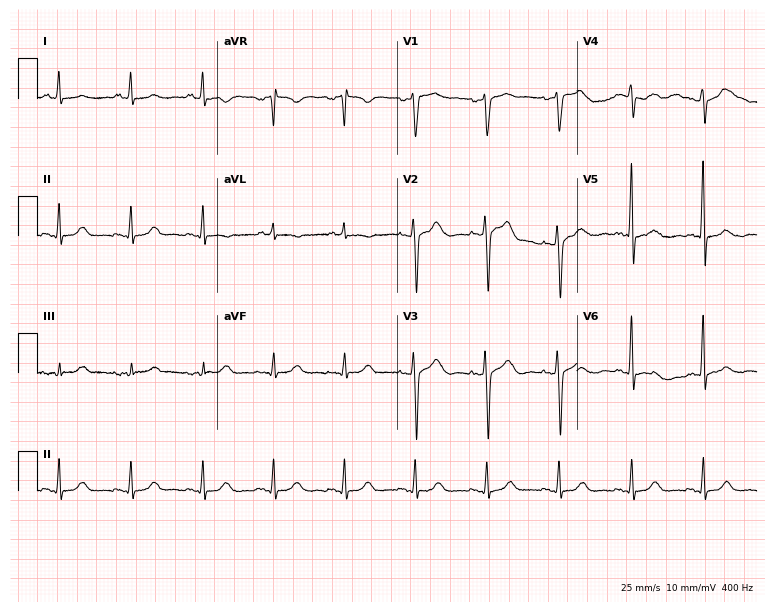
12-lead ECG from a 58-year-old female. Recorded interpretation: within normal limits.